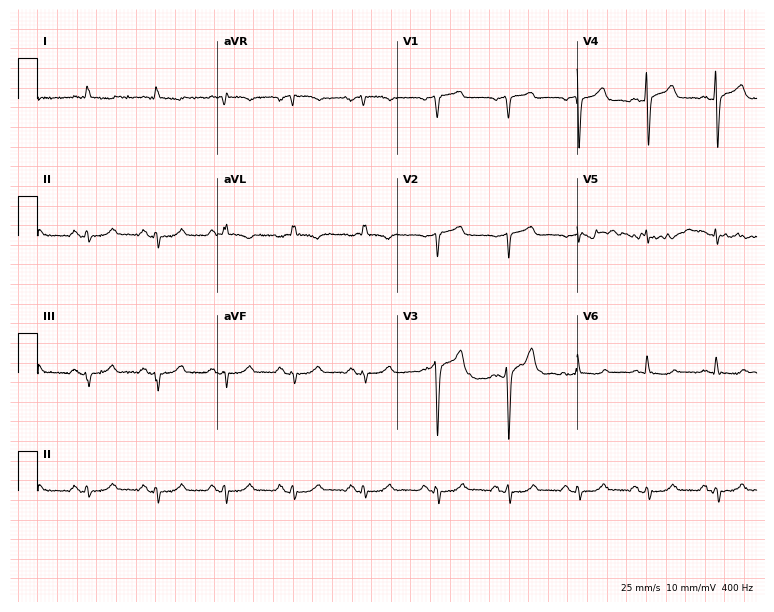
12-lead ECG from a 64-year-old man. Screened for six findings — first-degree AV block, right bundle branch block, left bundle branch block, sinus bradycardia, atrial fibrillation, sinus tachycardia — none is recorded. Other findings, if any, are not listed.